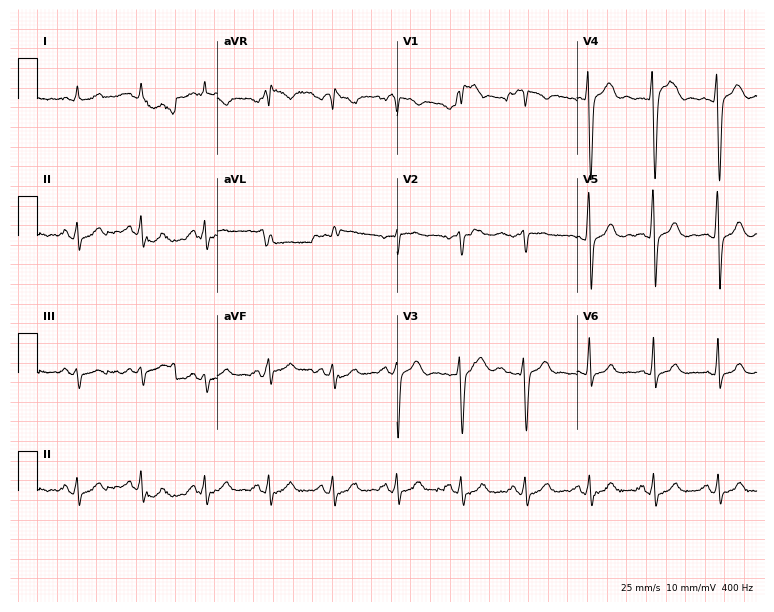
ECG (7.3-second recording at 400 Hz) — a man, 54 years old. Labelled as a normal ECG.